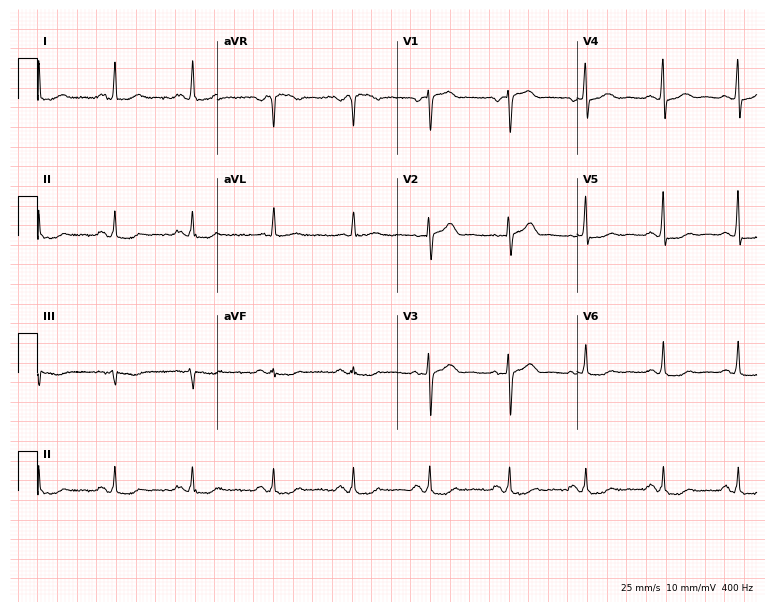
ECG (7.3-second recording at 400 Hz) — a male, 60 years old. Screened for six findings — first-degree AV block, right bundle branch block, left bundle branch block, sinus bradycardia, atrial fibrillation, sinus tachycardia — none is recorded. Other findings, if any, are not listed.